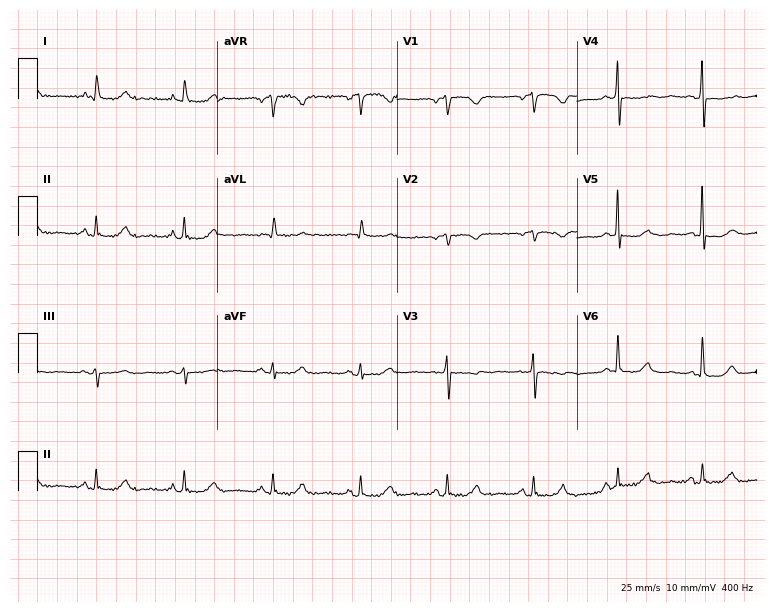
Standard 12-lead ECG recorded from a woman, 72 years old (7.3-second recording at 400 Hz). None of these six findings is recorded: first-degree AV block, right bundle branch block, left bundle branch block, sinus bradycardia, atrial fibrillation, sinus tachycardia.